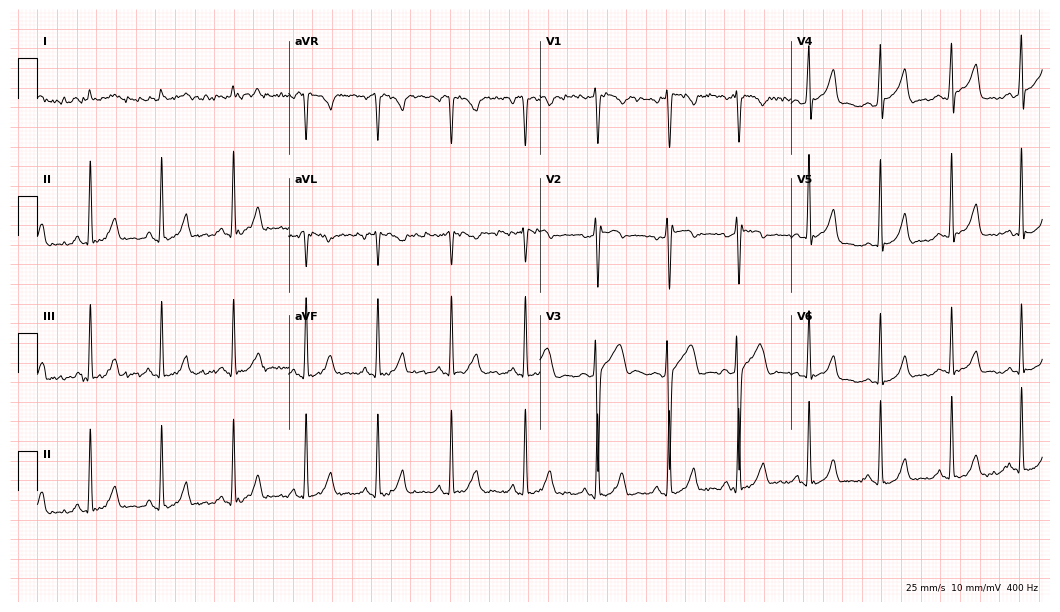
12-lead ECG from a 41-year-old male (10.2-second recording at 400 Hz). Recorded interpretation: within normal limits.